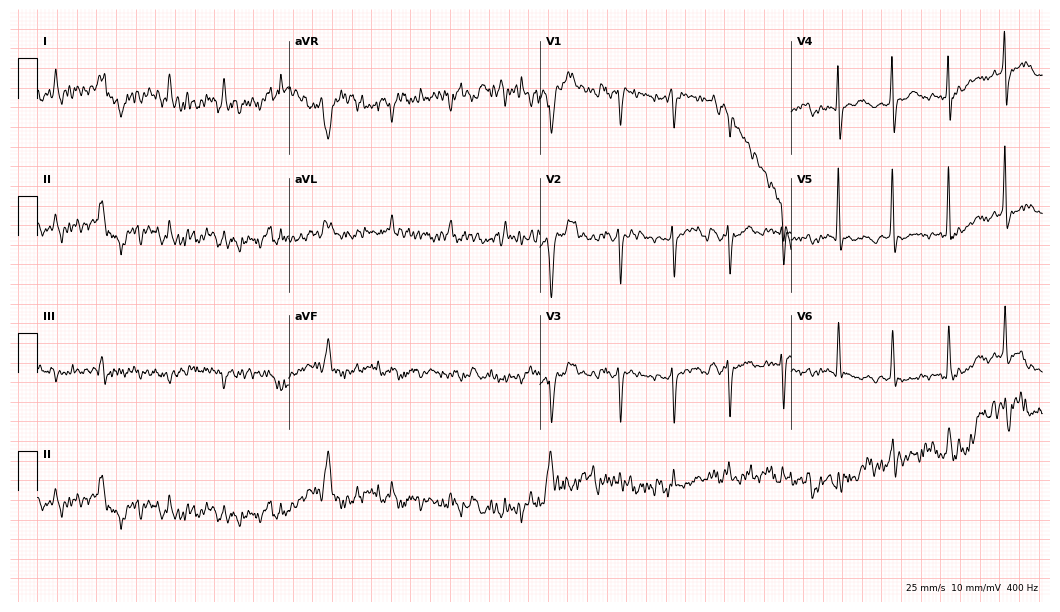
Resting 12-lead electrocardiogram. Patient: a female, 71 years old. None of these six findings is recorded: first-degree AV block, right bundle branch block, left bundle branch block, sinus bradycardia, atrial fibrillation, sinus tachycardia.